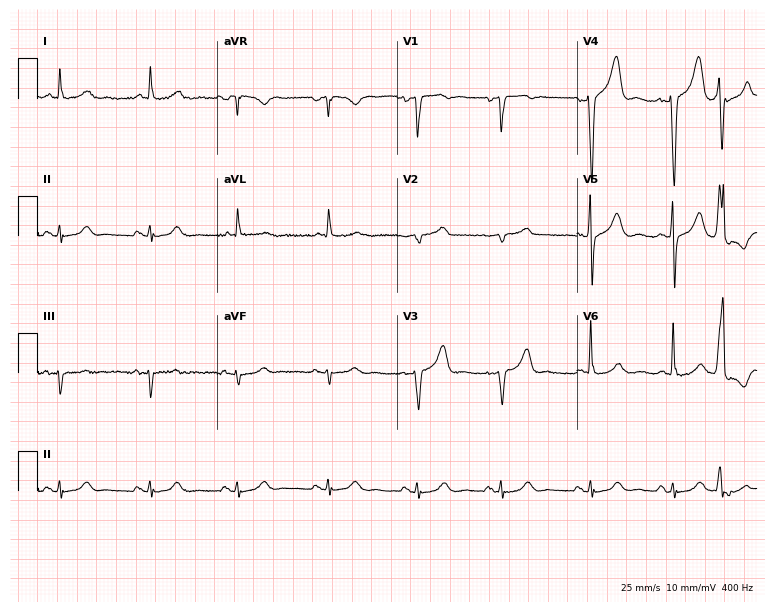
Electrocardiogram, an 83-year-old male patient. Of the six screened findings (first-degree AV block, right bundle branch block (RBBB), left bundle branch block (LBBB), sinus bradycardia, atrial fibrillation (AF), sinus tachycardia), none is recorded. Other findings, if any, are not listed.